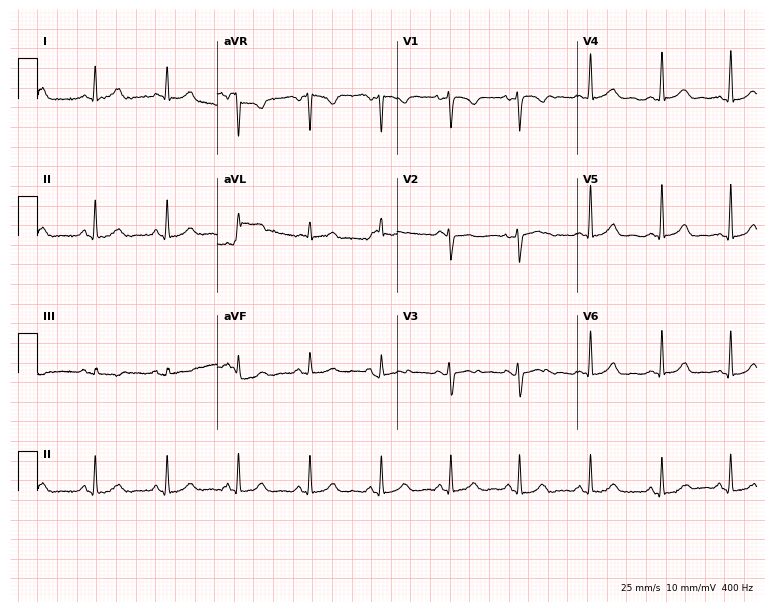
Electrocardiogram, a 32-year-old woman. Overall reading on record: normal ECG.